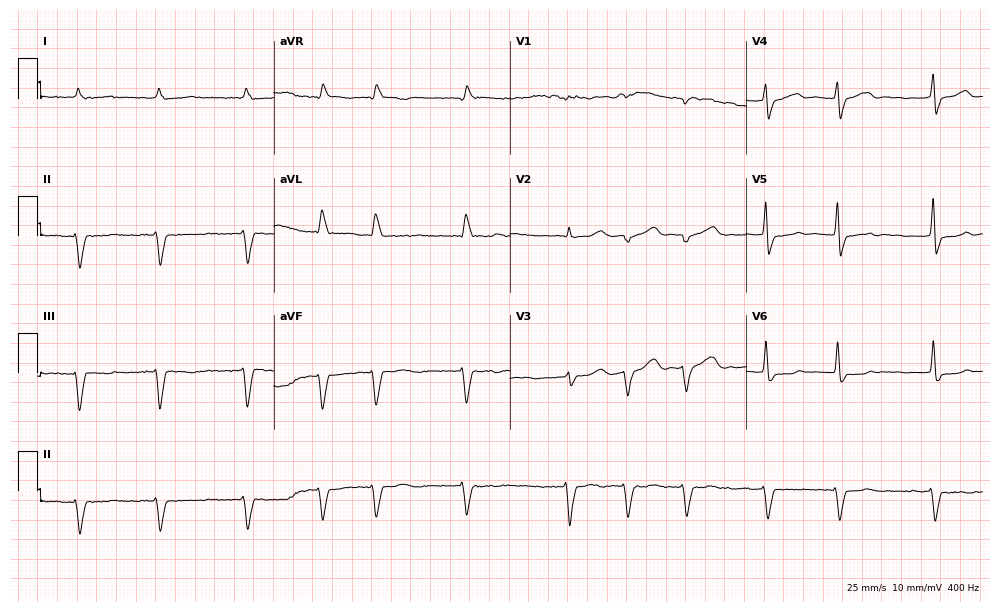
Resting 12-lead electrocardiogram. Patient: a man, 84 years old. The tracing shows right bundle branch block, atrial fibrillation.